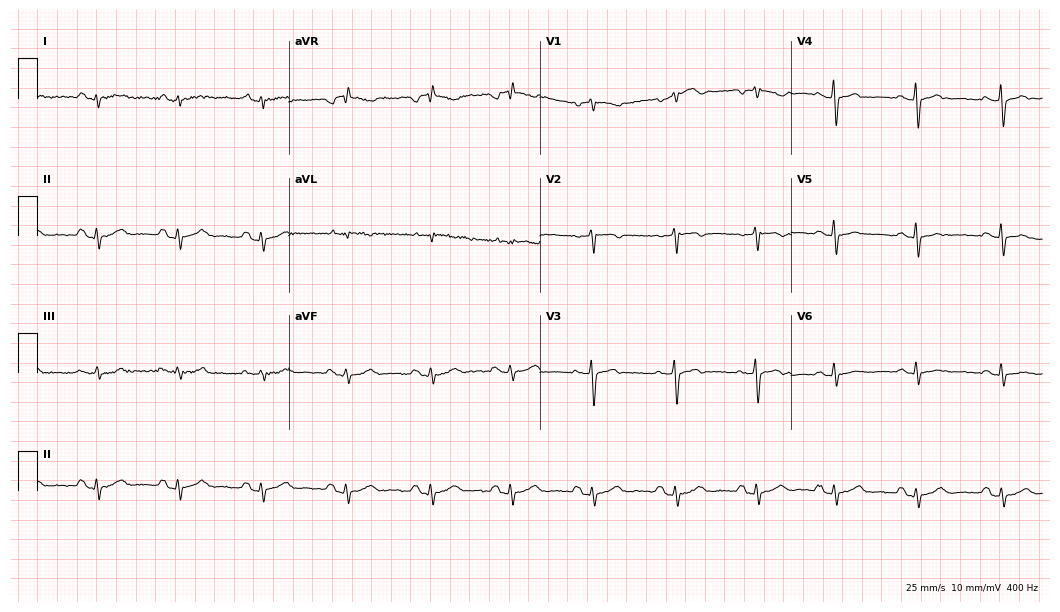
Resting 12-lead electrocardiogram (10.2-second recording at 400 Hz). Patient: a woman, 52 years old. Read as a normal ECG.